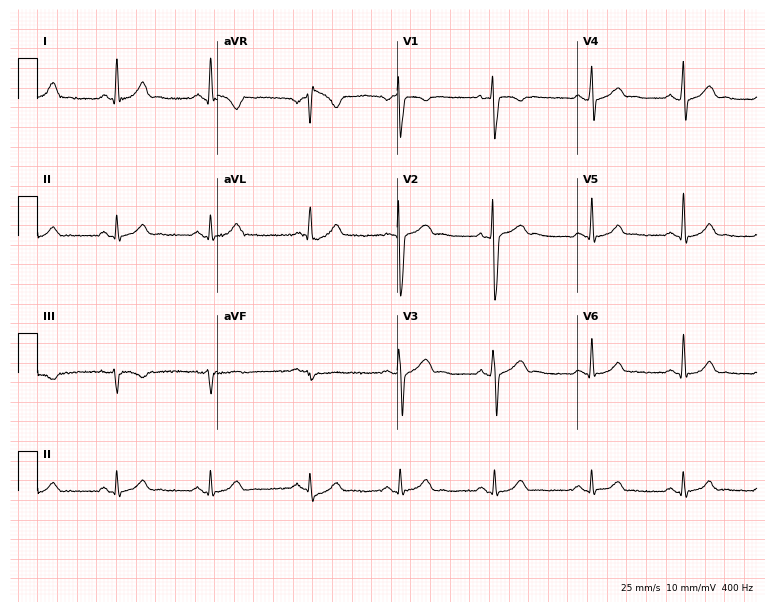
Electrocardiogram (7.3-second recording at 400 Hz), a male patient, 28 years old. Overall reading on record: normal ECG.